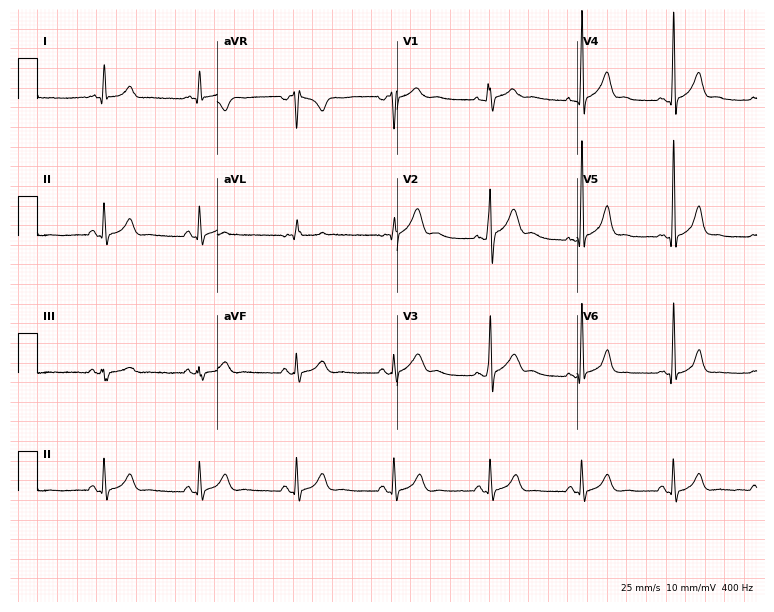
12-lead ECG from a man, 40 years old. Labelled as a normal ECG.